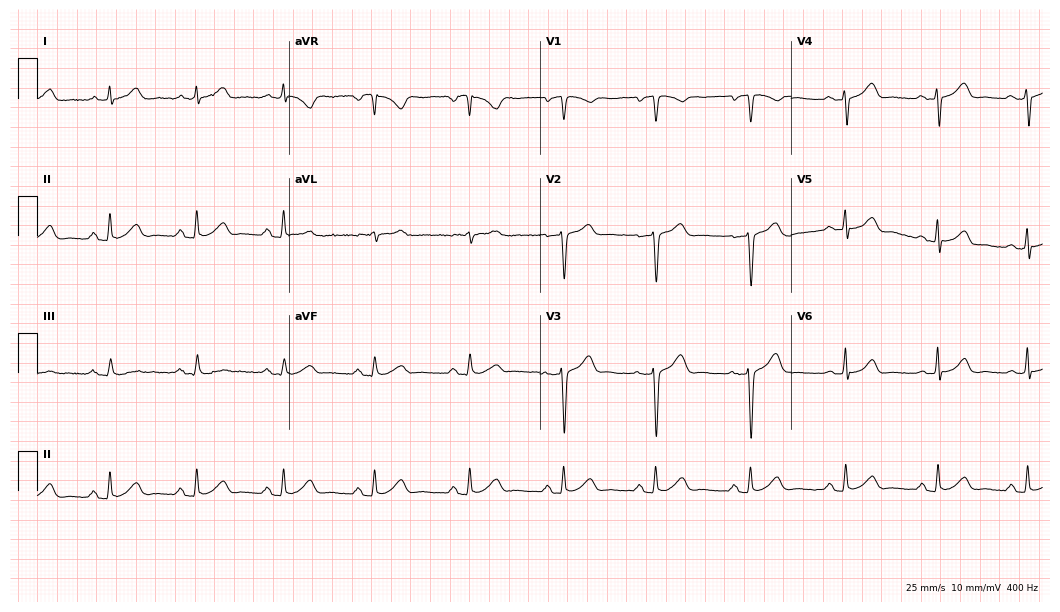
Standard 12-lead ECG recorded from a 50-year-old woman. None of these six findings is recorded: first-degree AV block, right bundle branch block (RBBB), left bundle branch block (LBBB), sinus bradycardia, atrial fibrillation (AF), sinus tachycardia. Findings outside these six are not listed.